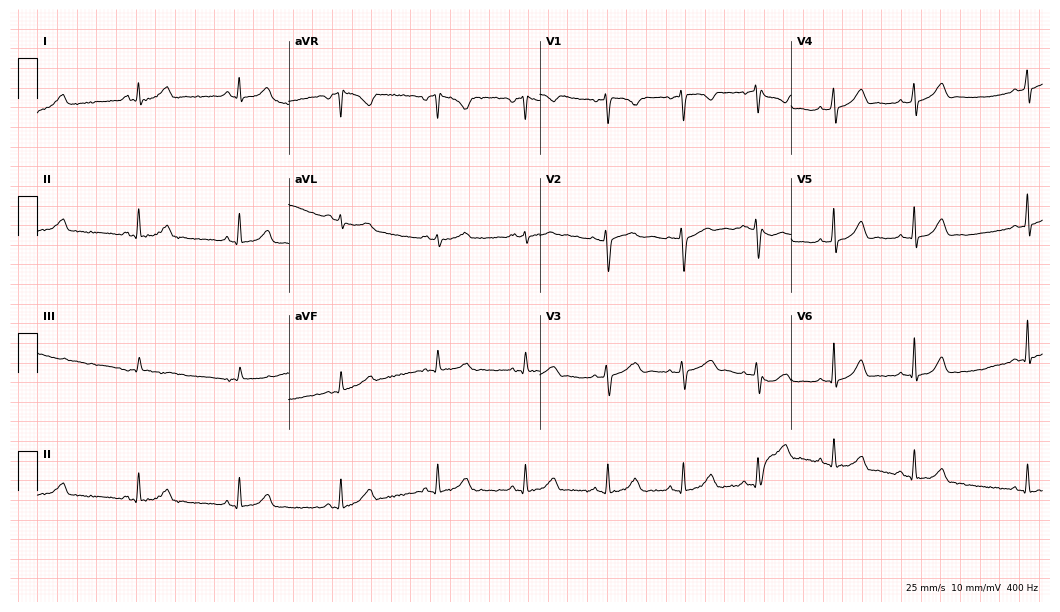
ECG — a 27-year-old female. Labelled as a normal ECG.